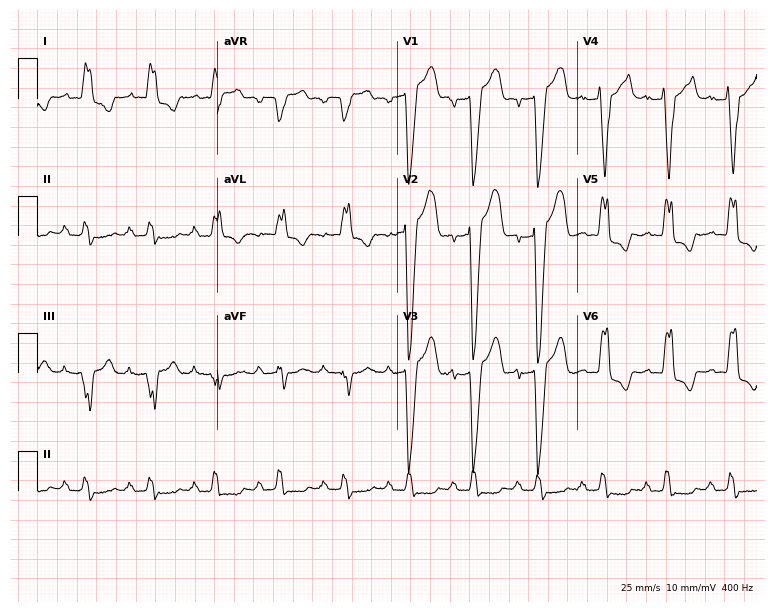
12-lead ECG (7.3-second recording at 400 Hz) from a 65-year-old male. Findings include left bundle branch block (LBBB).